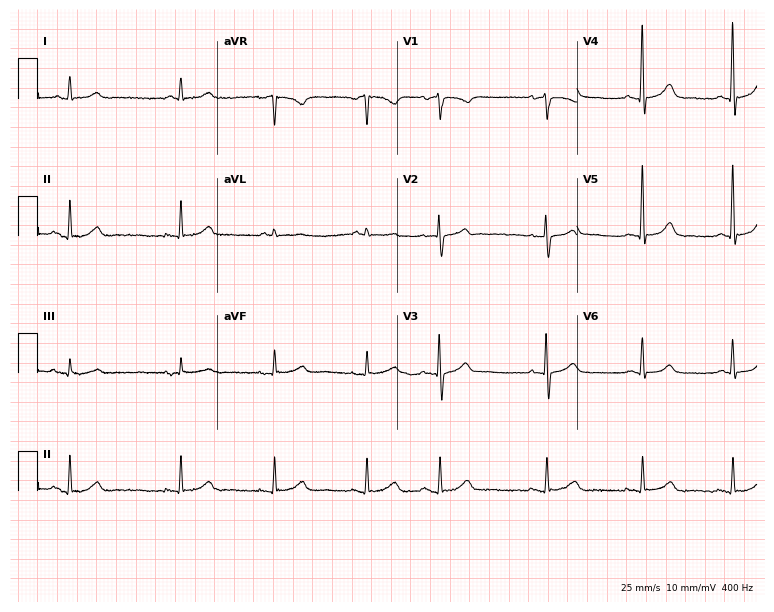
12-lead ECG (7.3-second recording at 400 Hz) from a male, 78 years old. Screened for six findings — first-degree AV block, right bundle branch block, left bundle branch block, sinus bradycardia, atrial fibrillation, sinus tachycardia — none is recorded. Other findings, if any, are not listed.